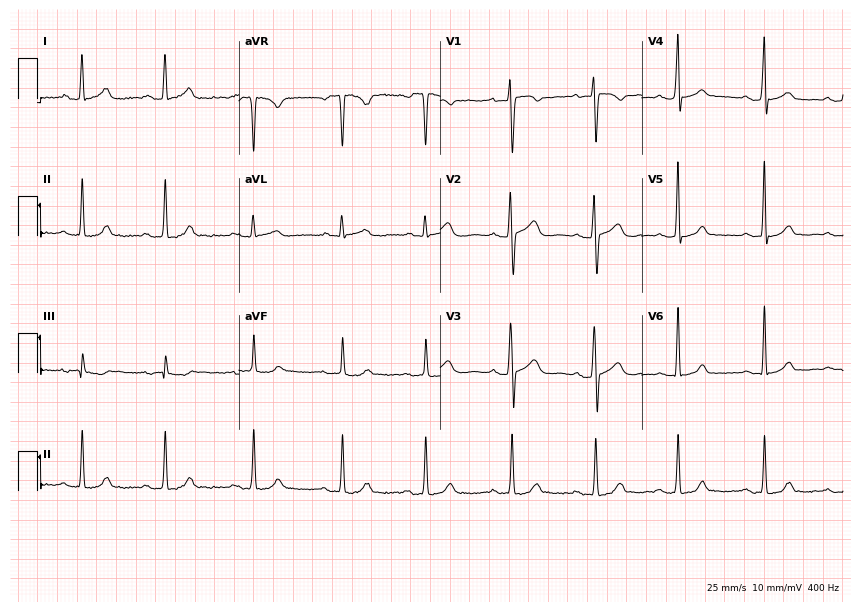
Electrocardiogram (8.2-second recording at 400 Hz), a female patient, 21 years old. Of the six screened findings (first-degree AV block, right bundle branch block, left bundle branch block, sinus bradycardia, atrial fibrillation, sinus tachycardia), none is recorded. Other findings, if any, are not listed.